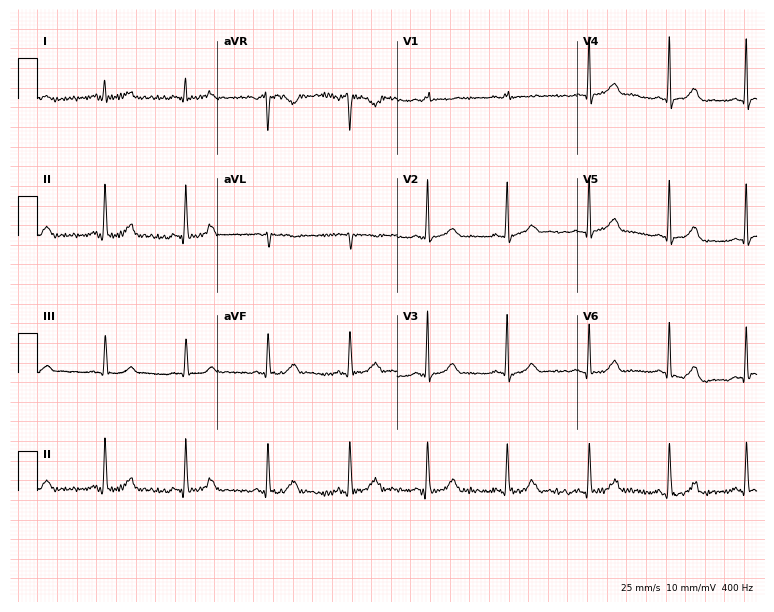
Standard 12-lead ECG recorded from a female, 40 years old. Read as a normal ECG.